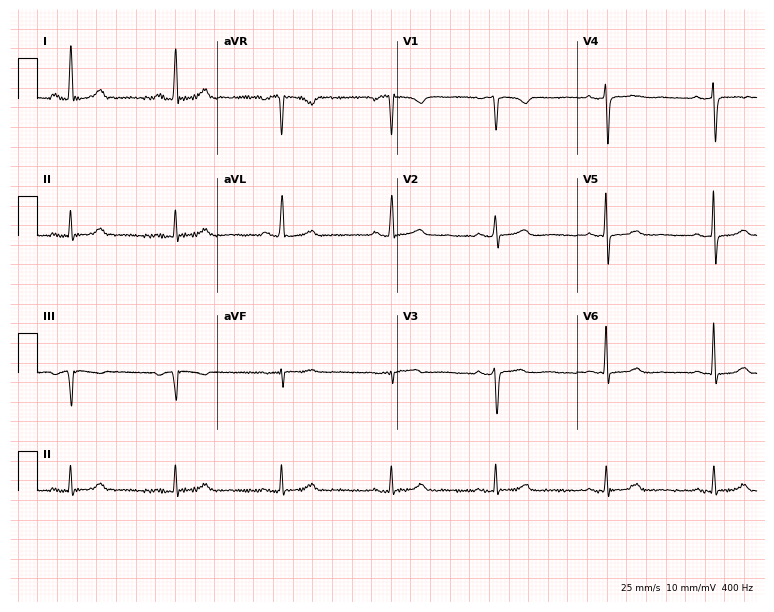
Standard 12-lead ECG recorded from a female, 75 years old (7.3-second recording at 400 Hz). Read as a normal ECG.